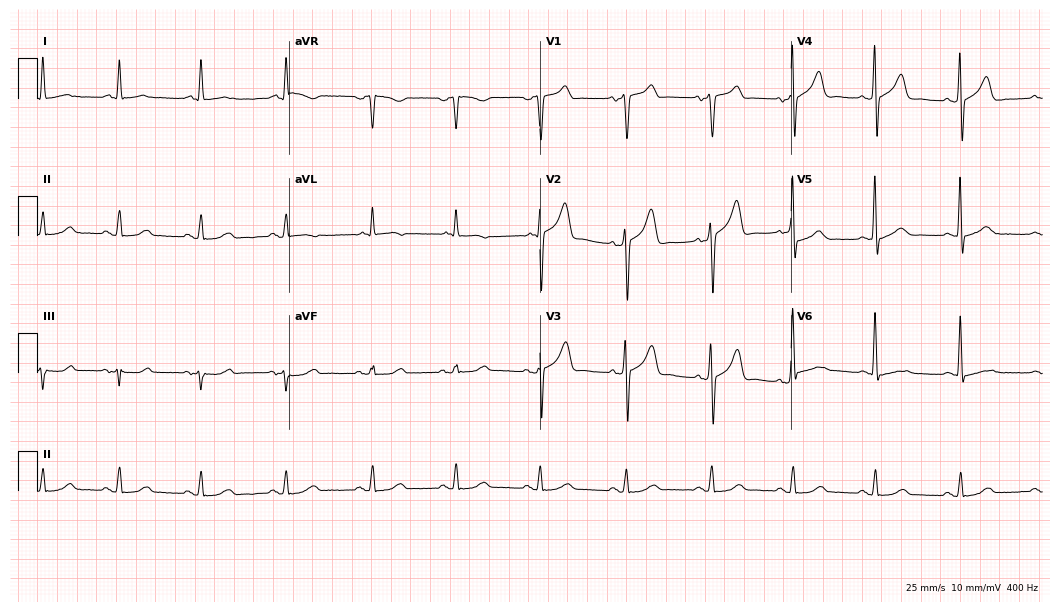
Electrocardiogram (10.2-second recording at 400 Hz), a male patient, 54 years old. Overall reading on record: normal ECG.